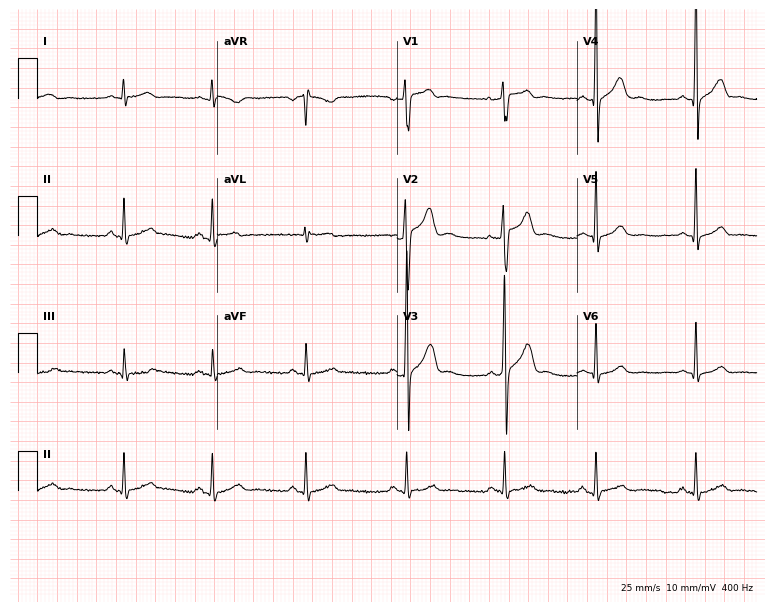
ECG — a male patient, 25 years old. Labelled as a normal ECG.